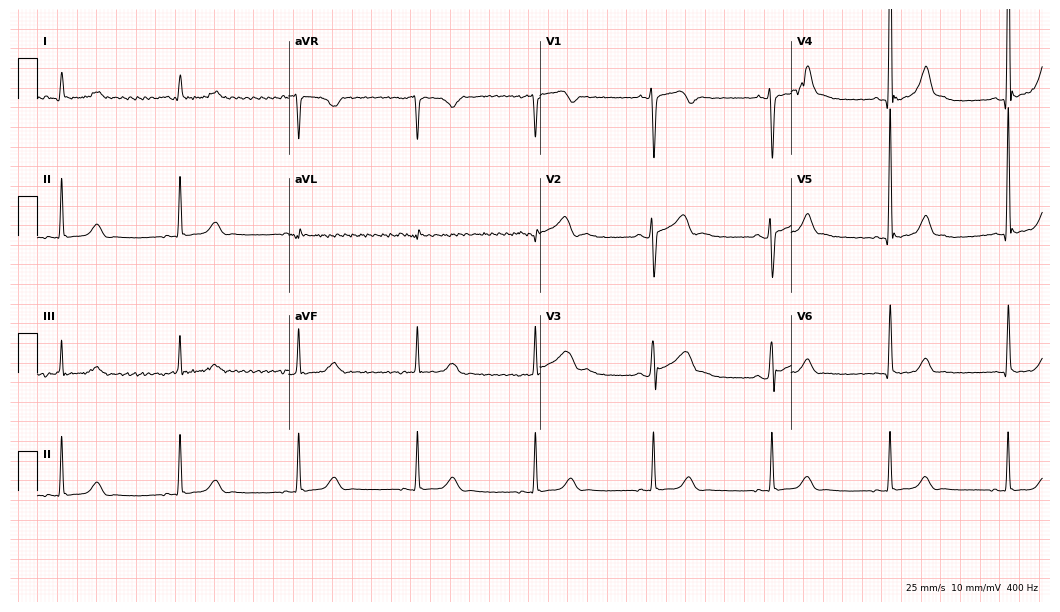
Standard 12-lead ECG recorded from a 42-year-old male. The tracing shows sinus bradycardia (a sinus rate of 50 beats per minute or less).